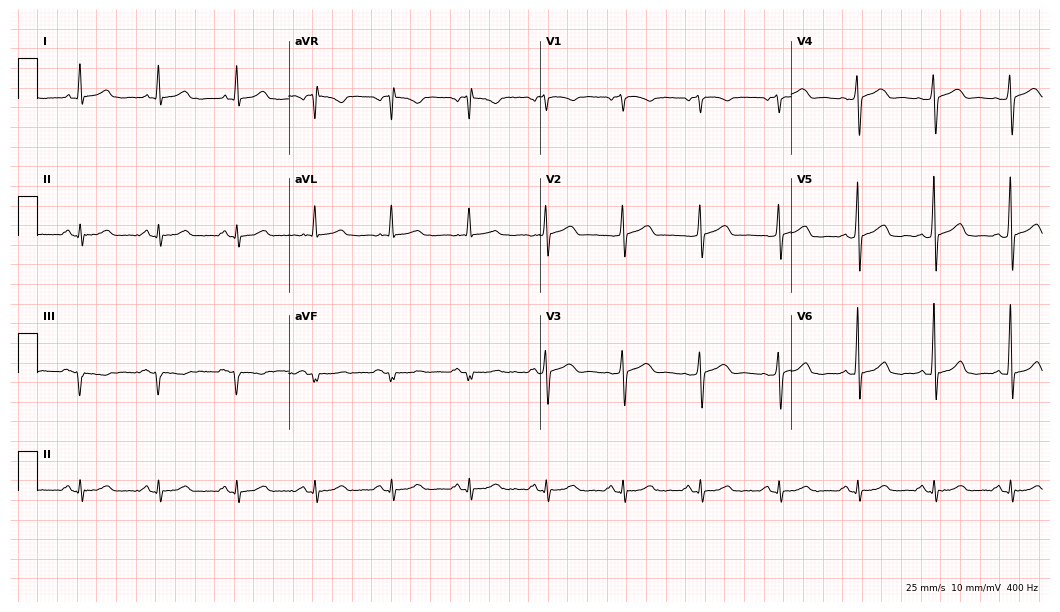
Standard 12-lead ECG recorded from a male, 71 years old (10.2-second recording at 400 Hz). Read as a normal ECG.